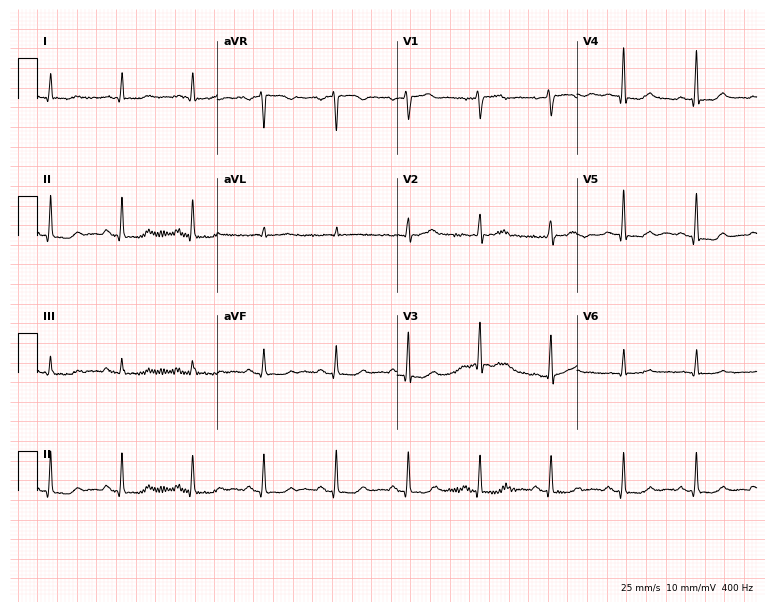
Standard 12-lead ECG recorded from a 79-year-old male. None of these six findings is recorded: first-degree AV block, right bundle branch block (RBBB), left bundle branch block (LBBB), sinus bradycardia, atrial fibrillation (AF), sinus tachycardia. Other findings, if any, are not listed.